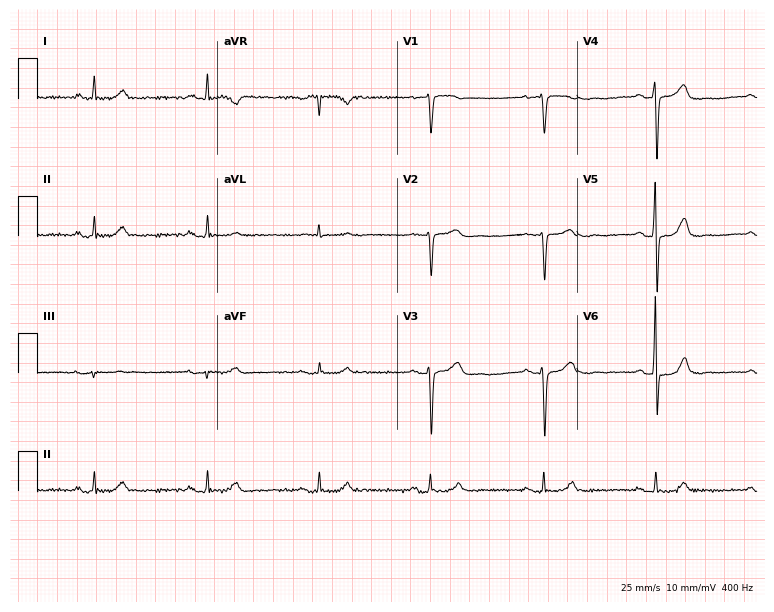
Resting 12-lead electrocardiogram. Patient: a male, 46 years old. Read as a normal ECG.